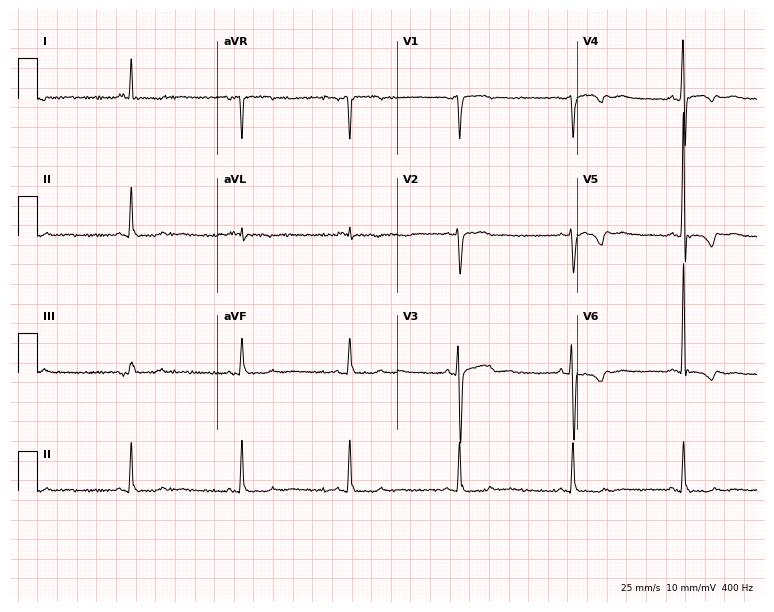
Resting 12-lead electrocardiogram (7.3-second recording at 400 Hz). Patient: a 25-year-old female. None of these six findings is recorded: first-degree AV block, right bundle branch block, left bundle branch block, sinus bradycardia, atrial fibrillation, sinus tachycardia. Other findings, if any, are not listed.